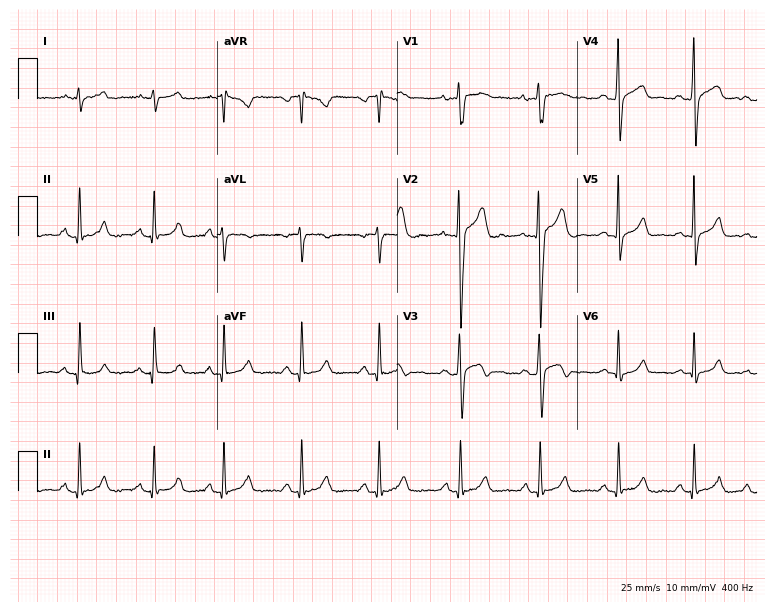
Standard 12-lead ECG recorded from a 28-year-old man. Read as a normal ECG.